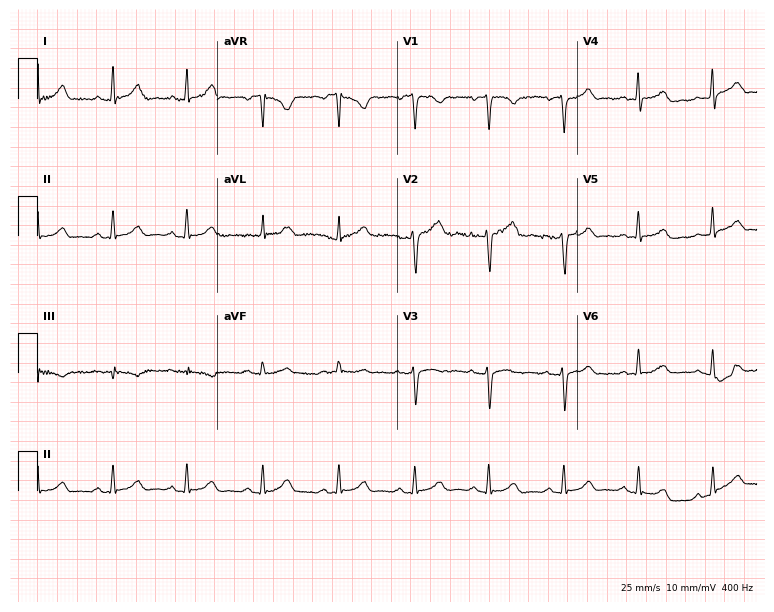
Electrocardiogram (7.3-second recording at 400 Hz), a 30-year-old woman. Overall reading on record: normal ECG.